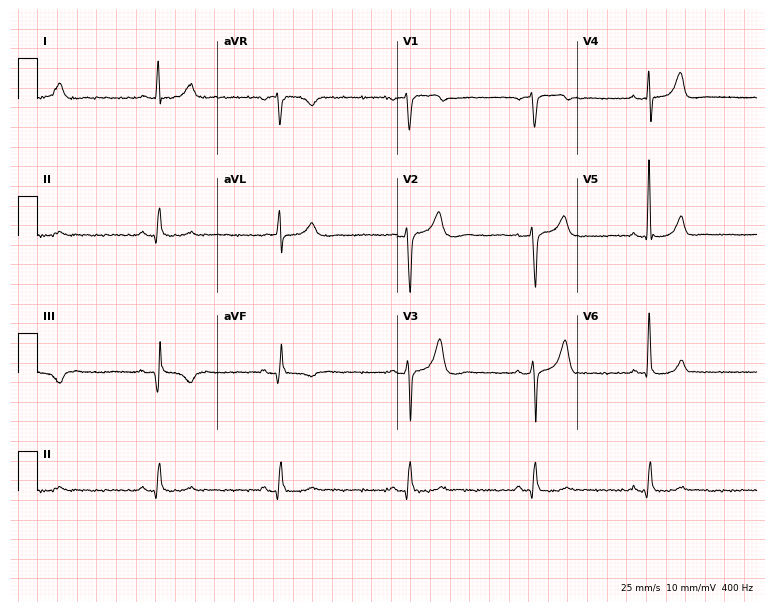
Standard 12-lead ECG recorded from a male, 54 years old. The tracing shows sinus bradycardia (a sinus rate of 50 beats per minute or less).